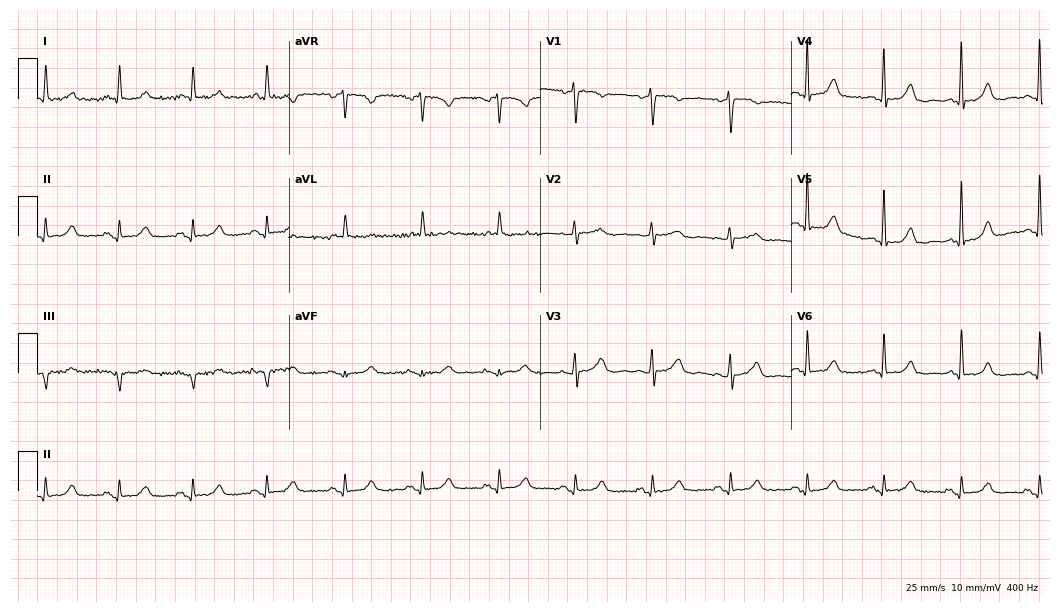
12-lead ECG from a 77-year-old female (10.2-second recording at 400 Hz). Recorded interpretation: within normal limits.